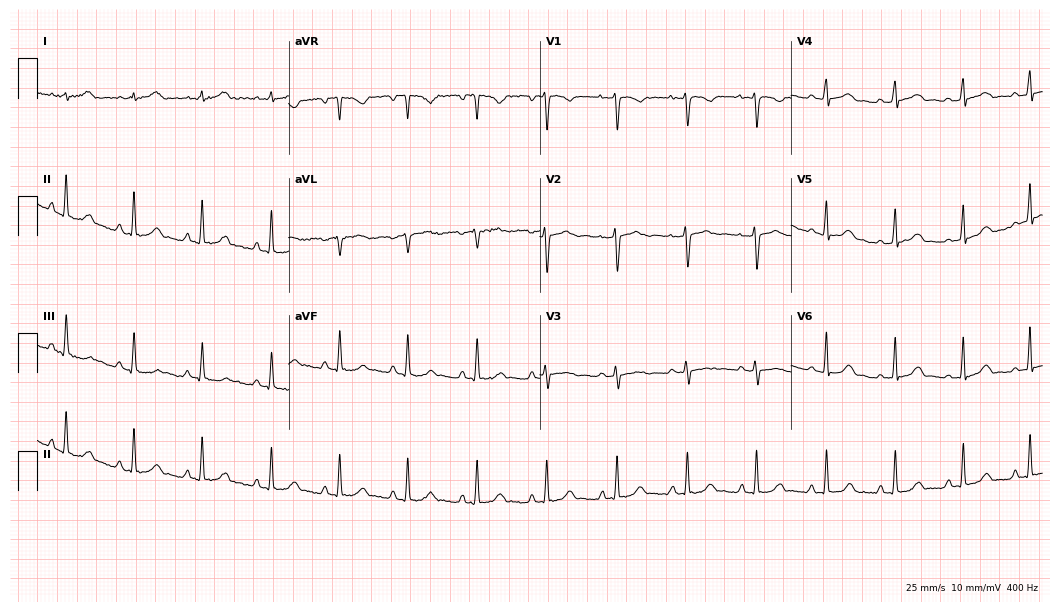
Standard 12-lead ECG recorded from a 30-year-old female patient. Read as a normal ECG.